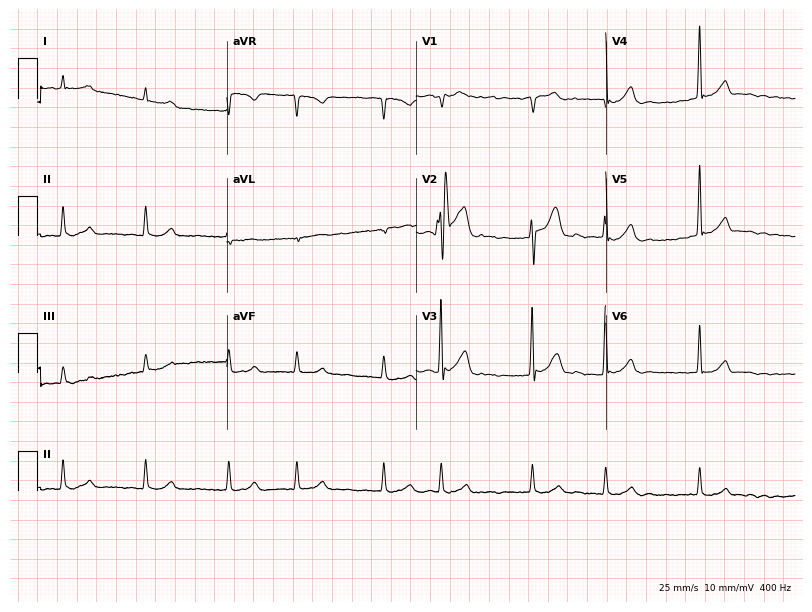
Standard 12-lead ECG recorded from a 73-year-old male patient (7.7-second recording at 400 Hz). The tracing shows atrial fibrillation.